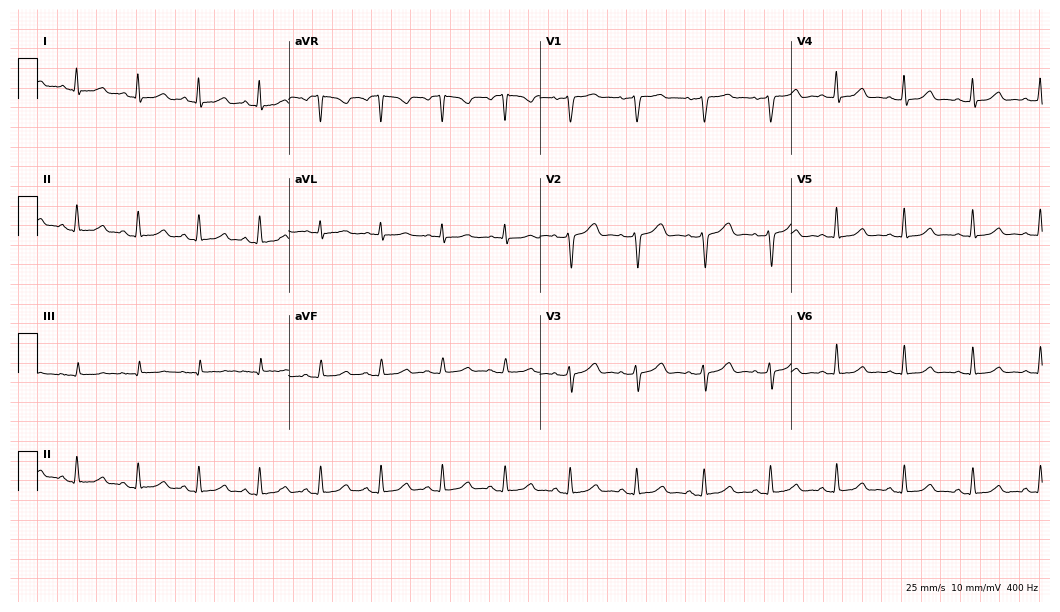
12-lead ECG from a 50-year-old female. No first-degree AV block, right bundle branch block (RBBB), left bundle branch block (LBBB), sinus bradycardia, atrial fibrillation (AF) or sinus tachycardia recorded for this tracing.